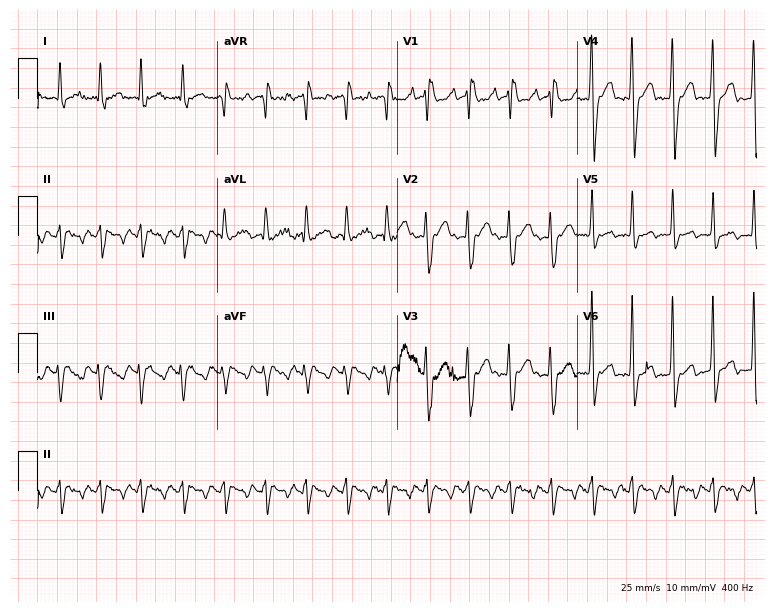
Standard 12-lead ECG recorded from a man, 51 years old (7.3-second recording at 400 Hz). None of these six findings is recorded: first-degree AV block, right bundle branch block (RBBB), left bundle branch block (LBBB), sinus bradycardia, atrial fibrillation (AF), sinus tachycardia. Findings outside these six are not listed.